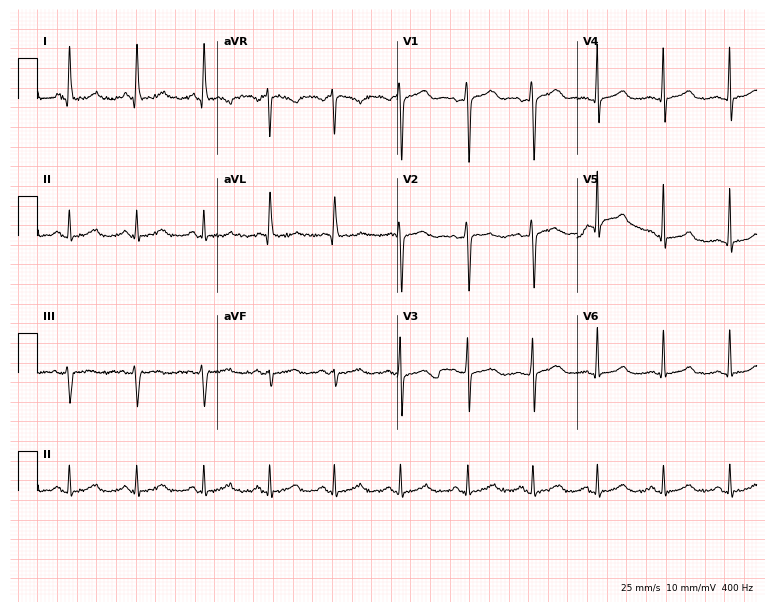
Electrocardiogram, a female patient, 40 years old. Overall reading on record: normal ECG.